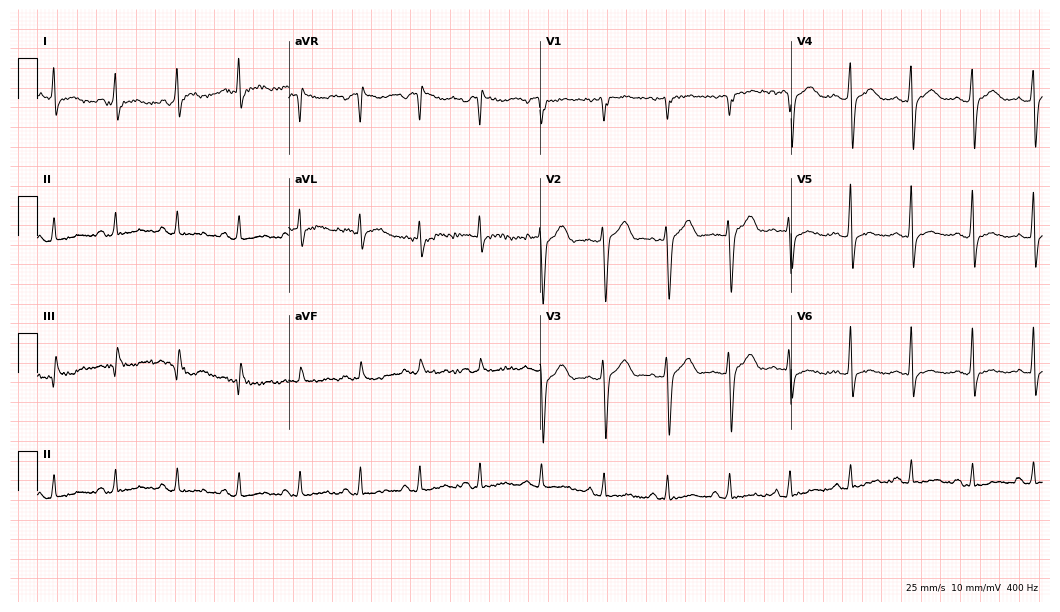
Standard 12-lead ECG recorded from a male patient, 37 years old (10.2-second recording at 400 Hz). Read as a normal ECG.